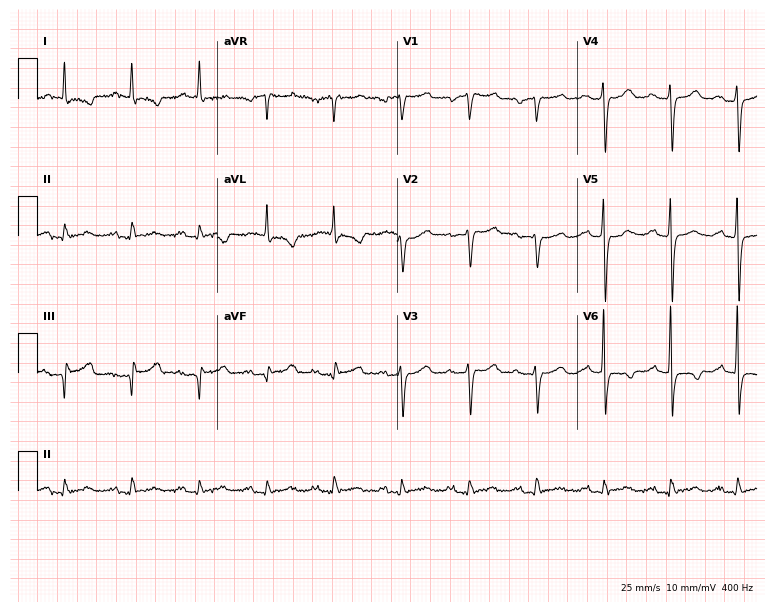
12-lead ECG from a female, 84 years old. Screened for six findings — first-degree AV block, right bundle branch block, left bundle branch block, sinus bradycardia, atrial fibrillation, sinus tachycardia — none is recorded.